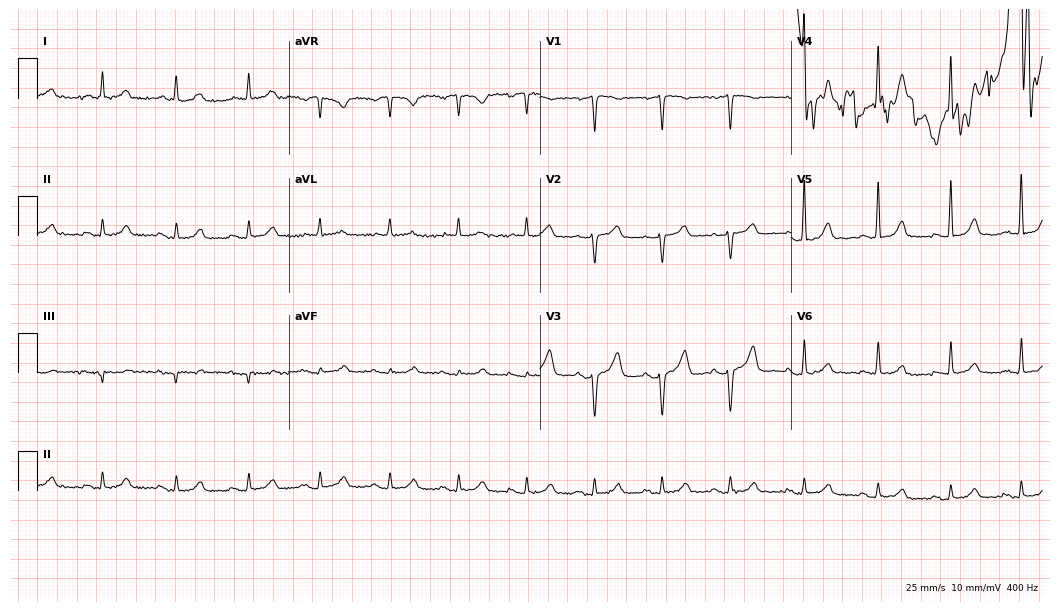
12-lead ECG from a 72-year-old female patient (10.2-second recording at 400 Hz). No first-degree AV block, right bundle branch block, left bundle branch block, sinus bradycardia, atrial fibrillation or sinus tachycardia recorded for this tracing.